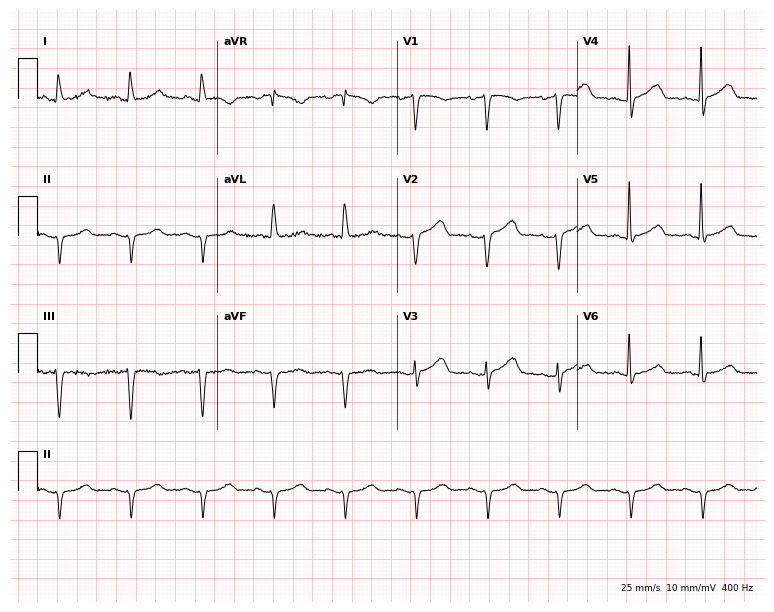
ECG — a man, 73 years old. Screened for six findings — first-degree AV block, right bundle branch block, left bundle branch block, sinus bradycardia, atrial fibrillation, sinus tachycardia — none is recorded.